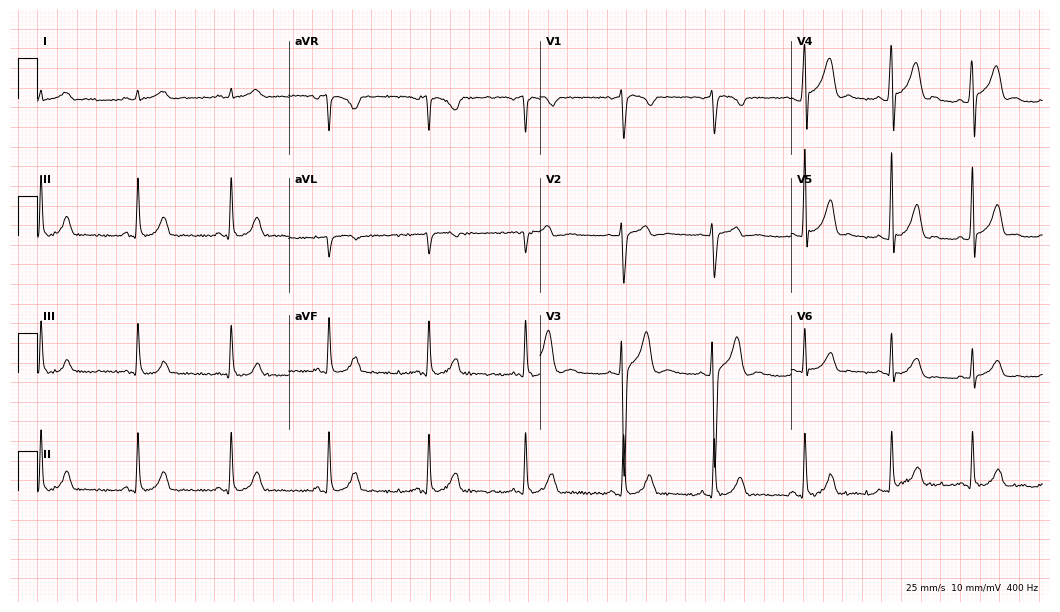
Standard 12-lead ECG recorded from a 22-year-old male (10.2-second recording at 400 Hz). None of these six findings is recorded: first-degree AV block, right bundle branch block (RBBB), left bundle branch block (LBBB), sinus bradycardia, atrial fibrillation (AF), sinus tachycardia.